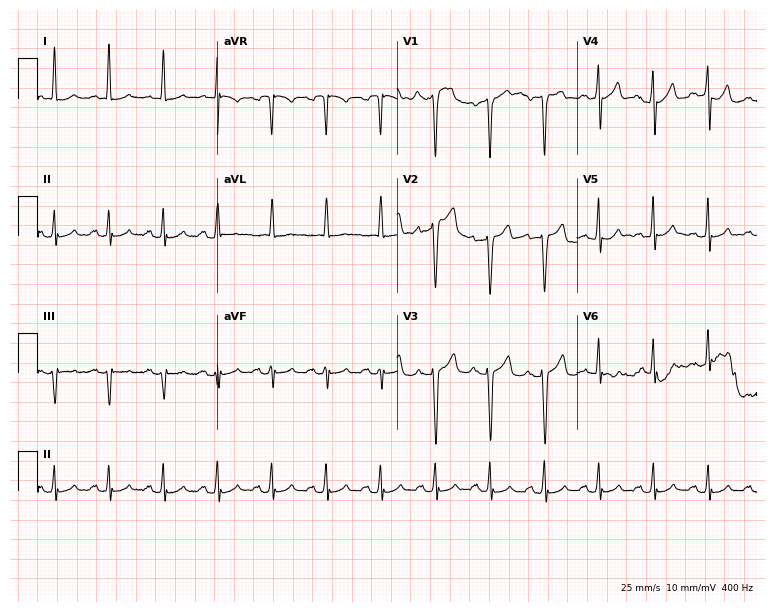
ECG (7.3-second recording at 400 Hz) — a 57-year-old woman. Findings include sinus tachycardia (a sinus rate of 100 beats per minute or more).